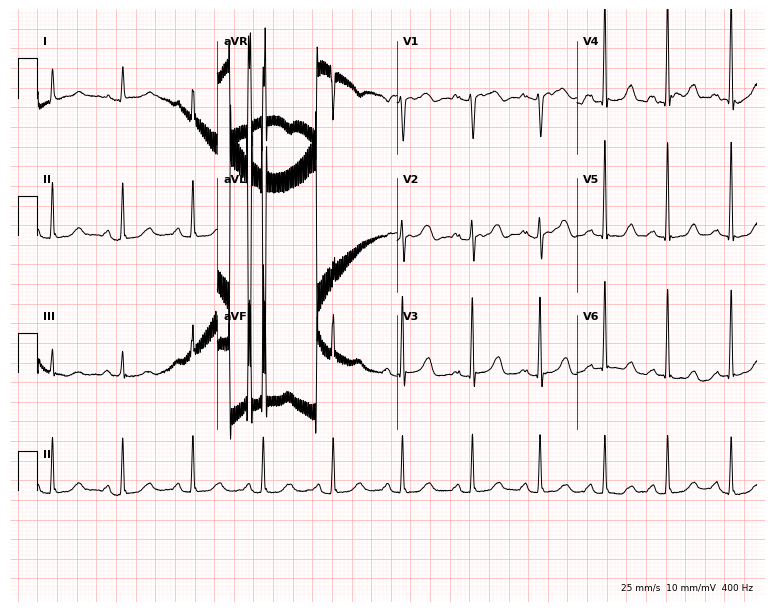
12-lead ECG (7.3-second recording at 400 Hz) from a 76-year-old woman. Labelled as a normal ECG.